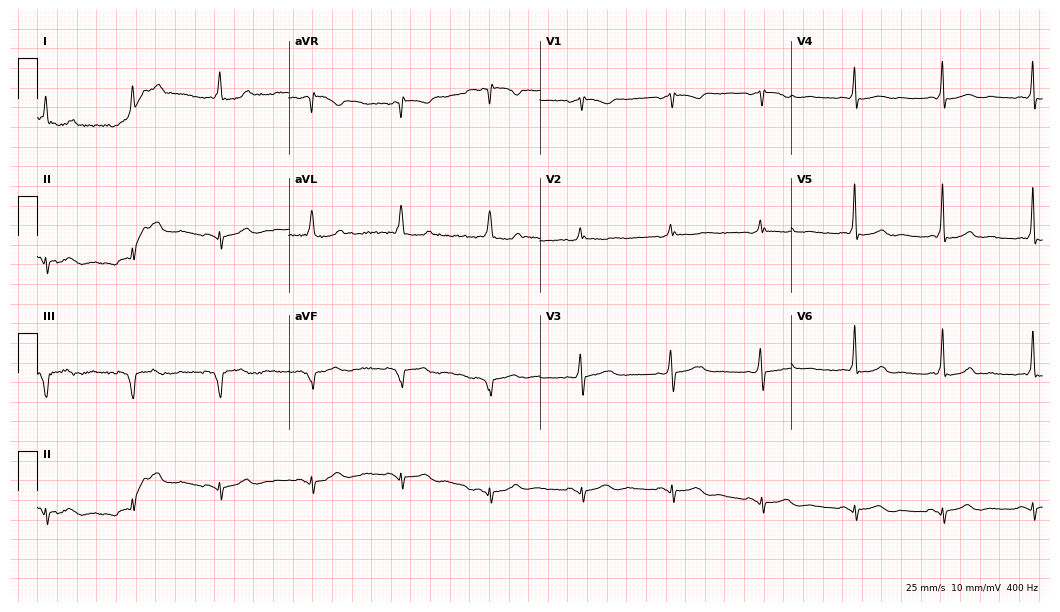
Electrocardiogram (10.2-second recording at 400 Hz), a 38-year-old woman. Of the six screened findings (first-degree AV block, right bundle branch block (RBBB), left bundle branch block (LBBB), sinus bradycardia, atrial fibrillation (AF), sinus tachycardia), none is recorded. Findings outside these six are not listed.